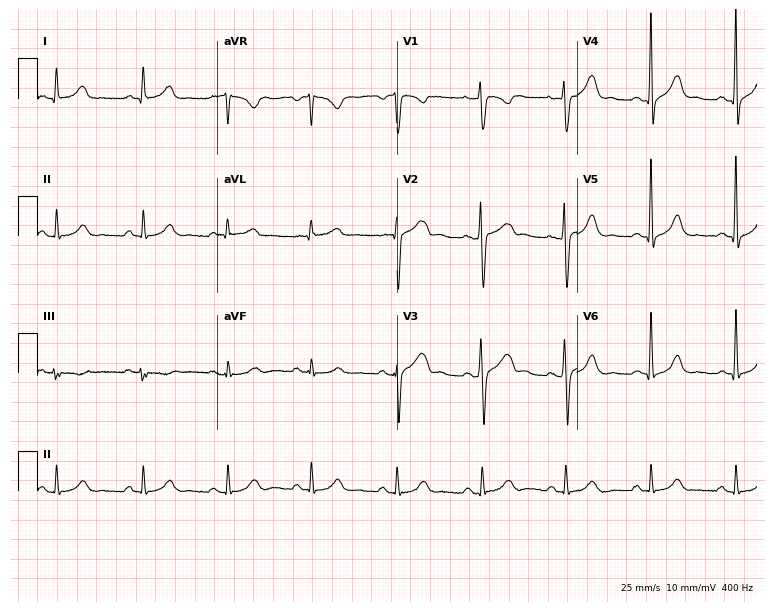
12-lead ECG (7.3-second recording at 400 Hz) from a 50-year-old man. Labelled as a normal ECG.